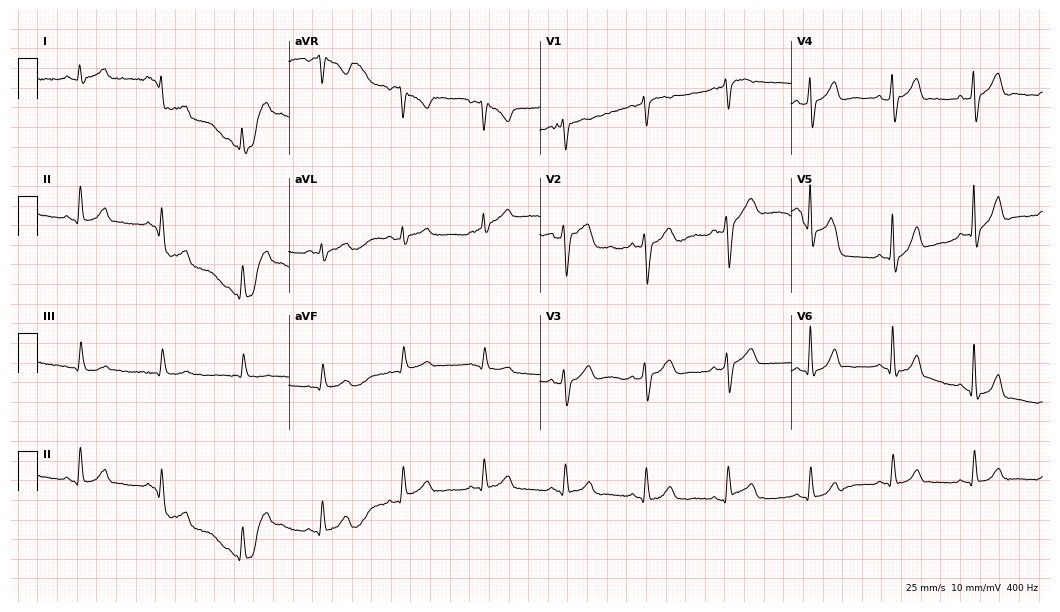
12-lead ECG from a 56-year-old male patient. Labelled as a normal ECG.